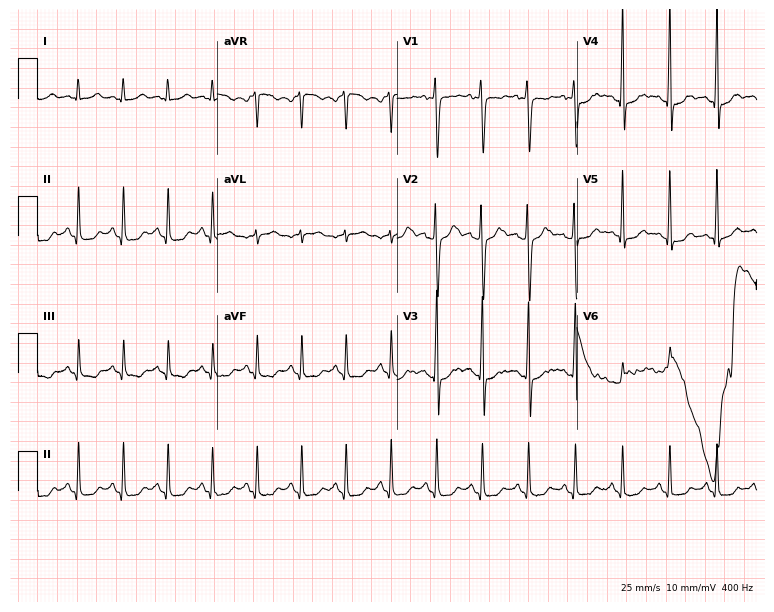
Standard 12-lead ECG recorded from a woman, 25 years old. The tracing shows sinus tachycardia (a sinus rate of 100 beats per minute or more).